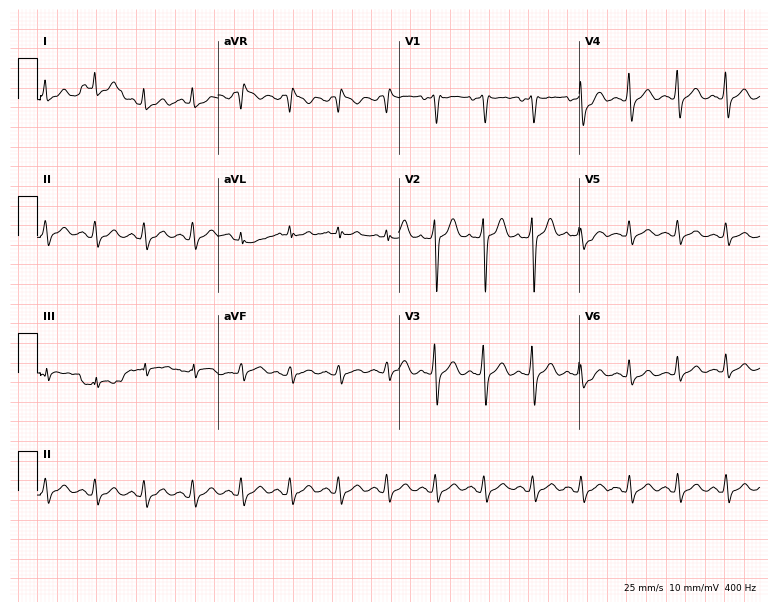
12-lead ECG from a male, 33 years old. No first-degree AV block, right bundle branch block, left bundle branch block, sinus bradycardia, atrial fibrillation or sinus tachycardia recorded for this tracing. Only these six findings were labelled.